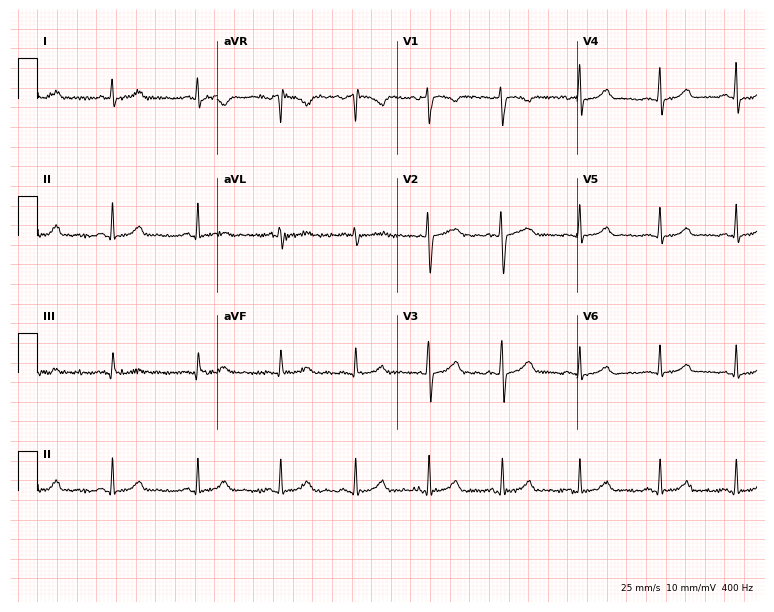
Electrocardiogram, a female patient, 29 years old. Overall reading on record: normal ECG.